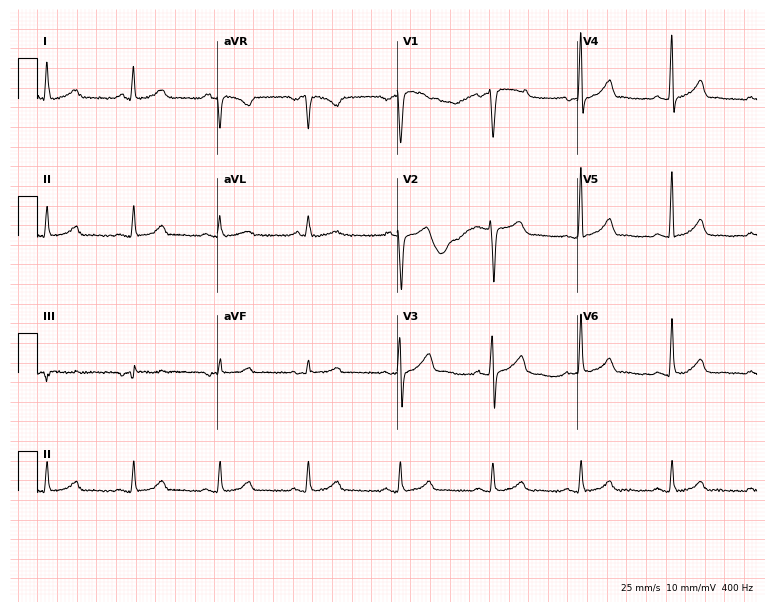
ECG — a man, 59 years old. Labelled as a normal ECG.